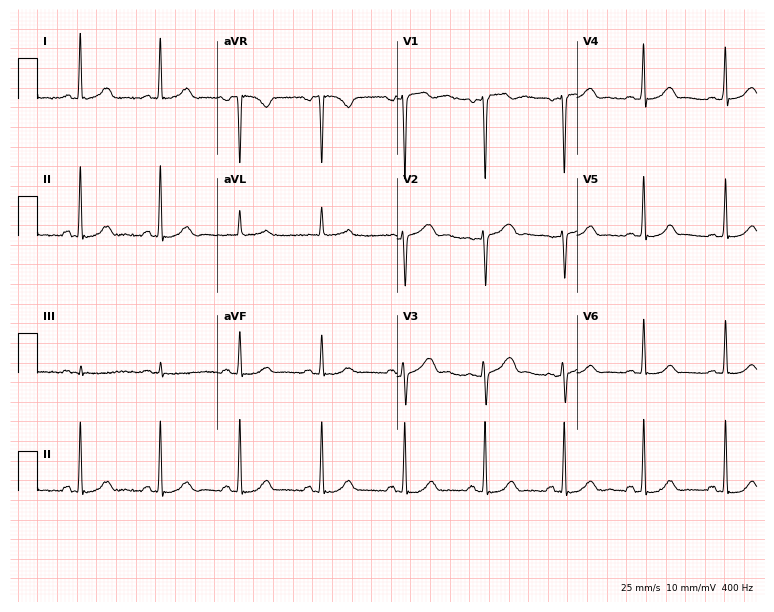
12-lead ECG from a woman, 38 years old (7.3-second recording at 400 Hz). Recorded interpretation: within normal limits.